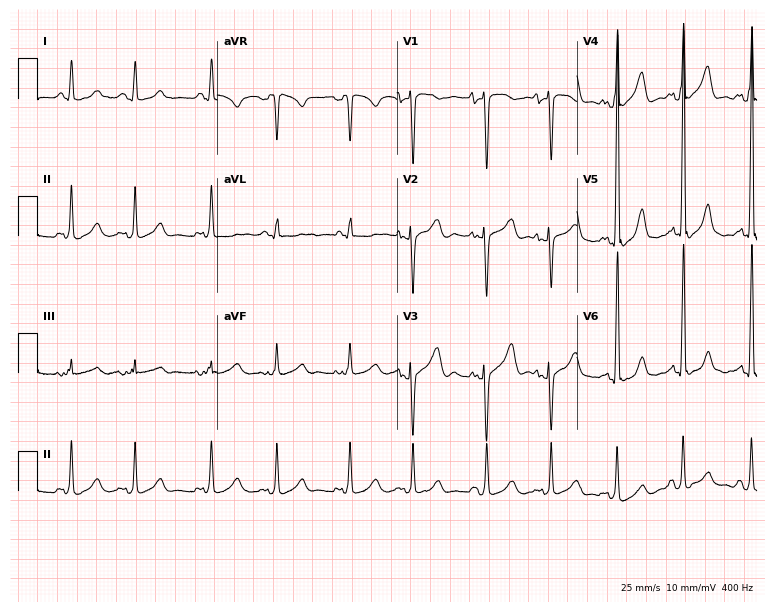
Resting 12-lead electrocardiogram. Patient: a 41-year-old female. None of these six findings is recorded: first-degree AV block, right bundle branch block, left bundle branch block, sinus bradycardia, atrial fibrillation, sinus tachycardia.